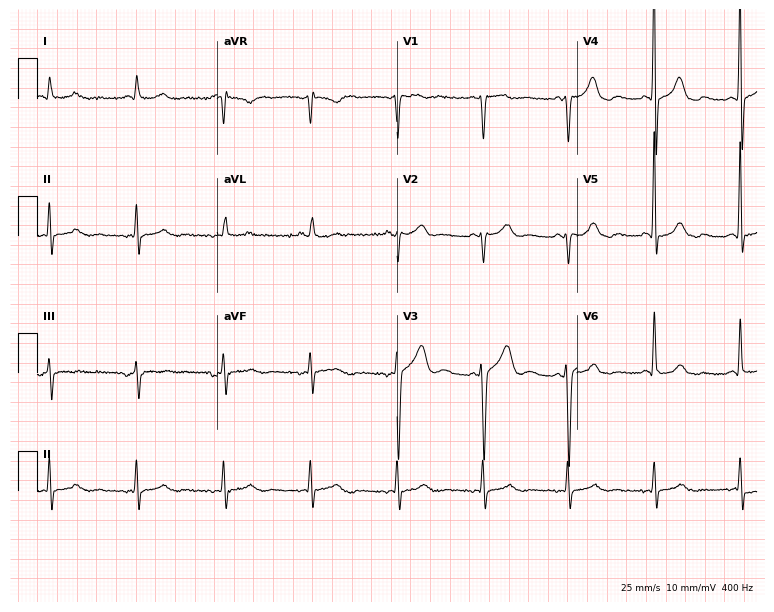
Resting 12-lead electrocardiogram (7.3-second recording at 400 Hz). Patient: a 72-year-old male. None of these six findings is recorded: first-degree AV block, right bundle branch block, left bundle branch block, sinus bradycardia, atrial fibrillation, sinus tachycardia. Other findings, if any, are not listed.